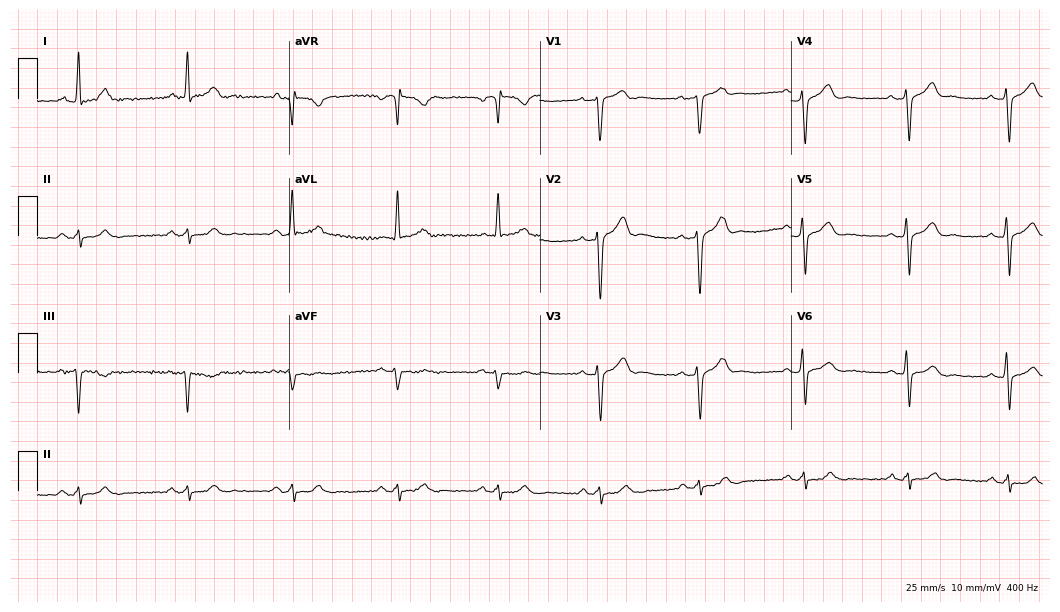
Standard 12-lead ECG recorded from a 55-year-old male patient (10.2-second recording at 400 Hz). None of these six findings is recorded: first-degree AV block, right bundle branch block, left bundle branch block, sinus bradycardia, atrial fibrillation, sinus tachycardia. Other findings, if any, are not listed.